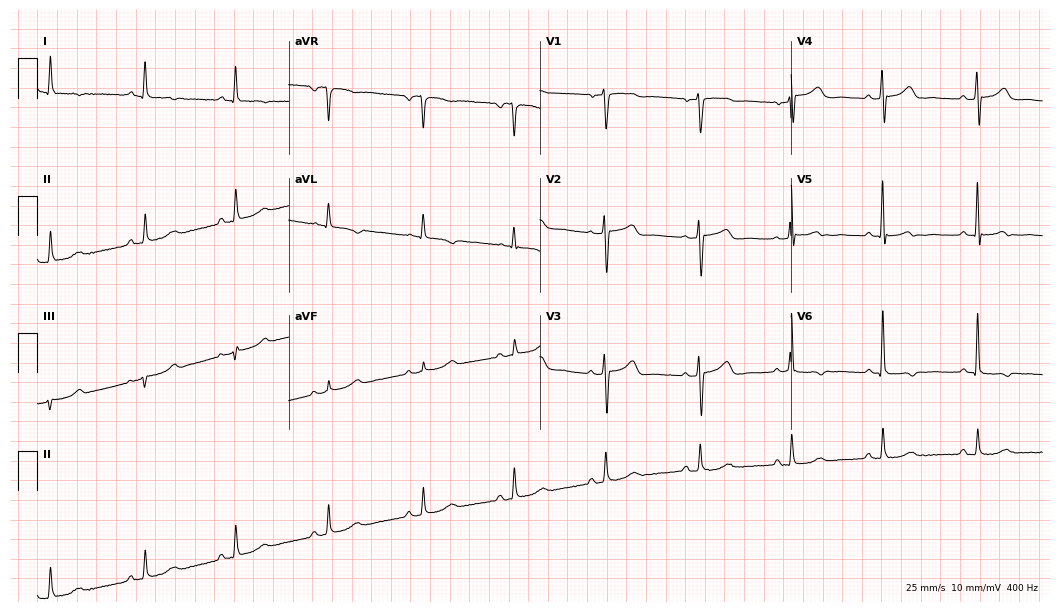
Electrocardiogram, a 57-year-old woman. Of the six screened findings (first-degree AV block, right bundle branch block, left bundle branch block, sinus bradycardia, atrial fibrillation, sinus tachycardia), none is recorded.